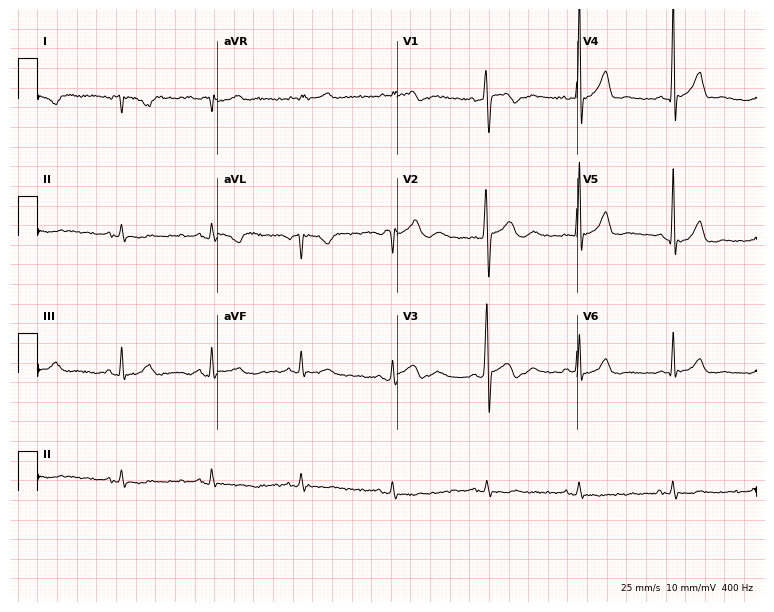
Resting 12-lead electrocardiogram (7.3-second recording at 400 Hz). Patient: a man, 29 years old. None of these six findings is recorded: first-degree AV block, right bundle branch block, left bundle branch block, sinus bradycardia, atrial fibrillation, sinus tachycardia. Other findings, if any, are not listed.